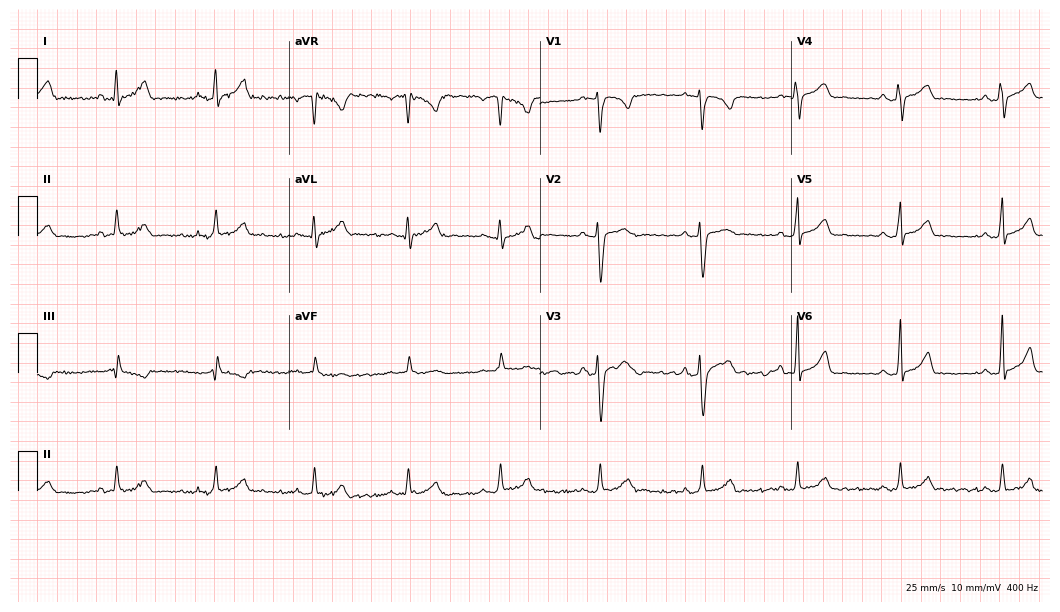
Standard 12-lead ECG recorded from a male, 21 years old. None of these six findings is recorded: first-degree AV block, right bundle branch block (RBBB), left bundle branch block (LBBB), sinus bradycardia, atrial fibrillation (AF), sinus tachycardia. Other findings, if any, are not listed.